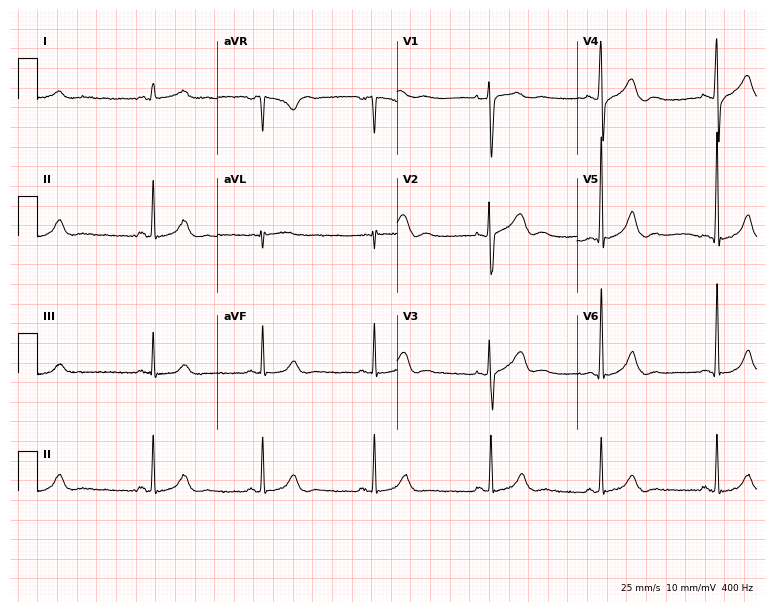
ECG (7.3-second recording at 400 Hz) — a male patient, 36 years old. Labelled as a normal ECG.